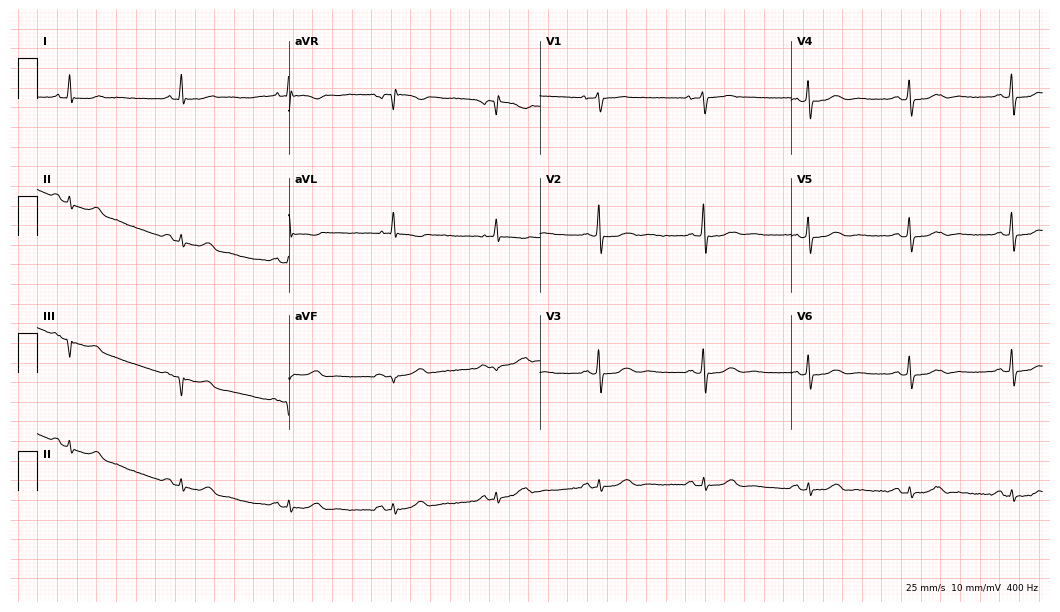
Resting 12-lead electrocardiogram. Patient: a female, 61 years old. None of these six findings is recorded: first-degree AV block, right bundle branch block, left bundle branch block, sinus bradycardia, atrial fibrillation, sinus tachycardia.